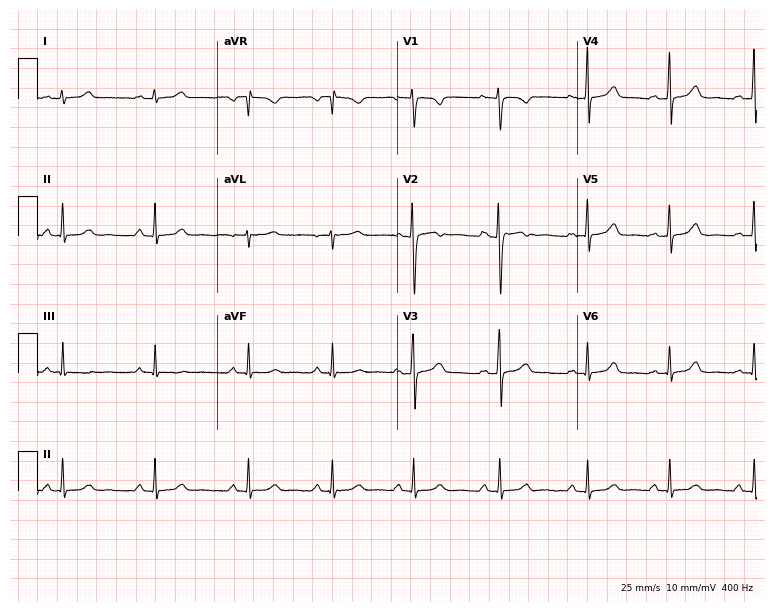
12-lead ECG from a 25-year-old female. Labelled as a normal ECG.